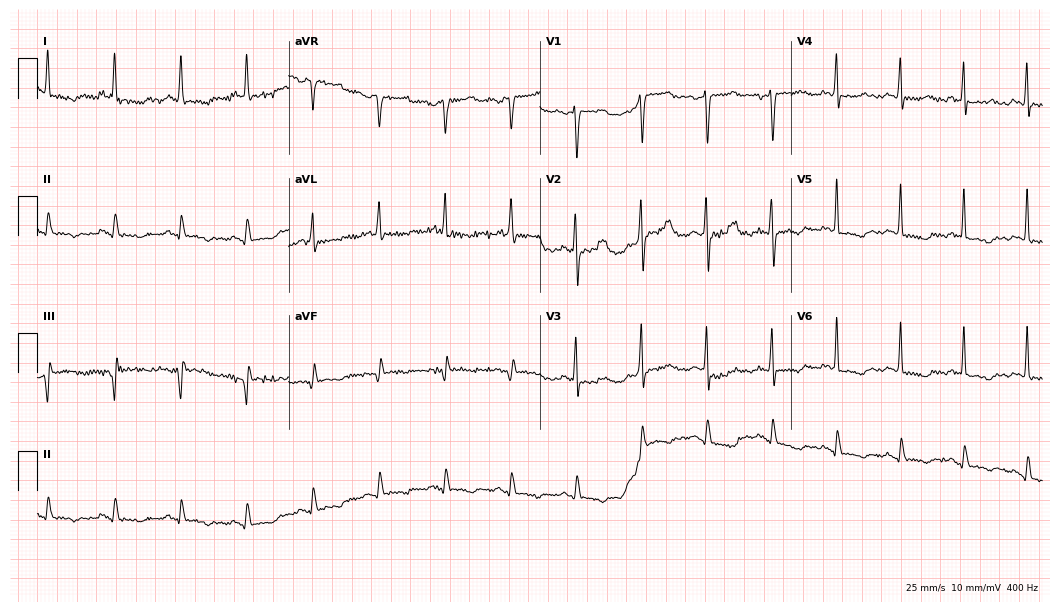
12-lead ECG from a 58-year-old female (10.2-second recording at 400 Hz). No first-degree AV block, right bundle branch block, left bundle branch block, sinus bradycardia, atrial fibrillation or sinus tachycardia recorded for this tracing.